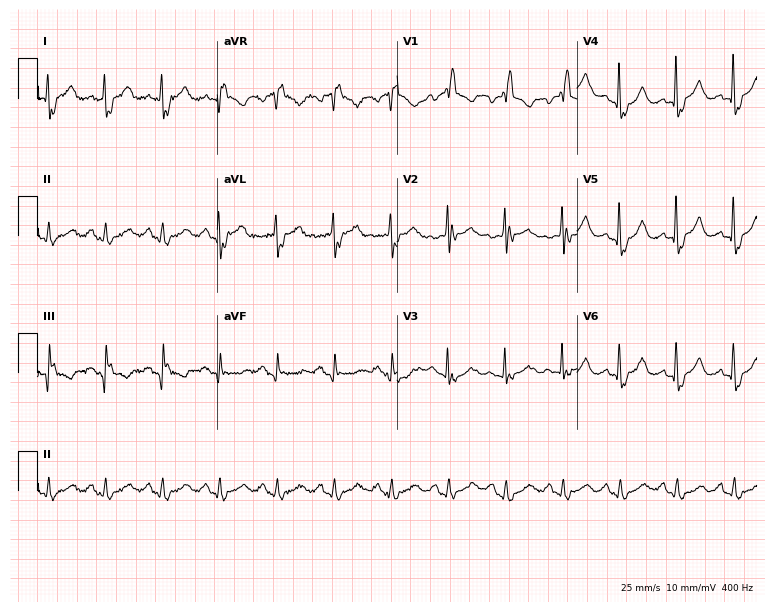
12-lead ECG from a 74-year-old female (7.3-second recording at 400 Hz). Shows right bundle branch block (RBBB), sinus tachycardia (a sinus rate of 100 beats per minute or more).